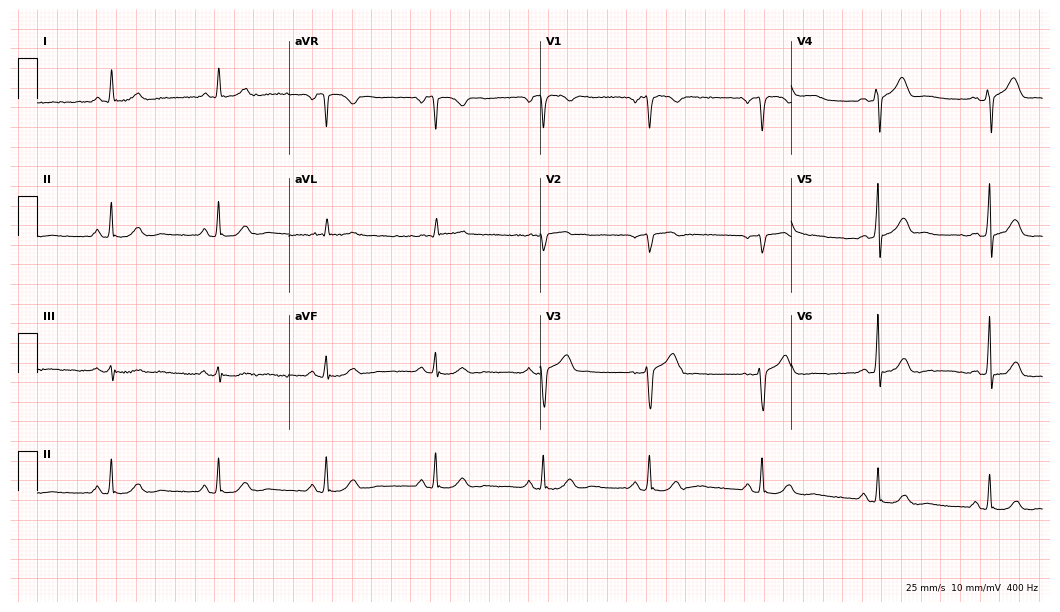
ECG (10.2-second recording at 400 Hz) — a 49-year-old male patient. Screened for six findings — first-degree AV block, right bundle branch block (RBBB), left bundle branch block (LBBB), sinus bradycardia, atrial fibrillation (AF), sinus tachycardia — none is recorded.